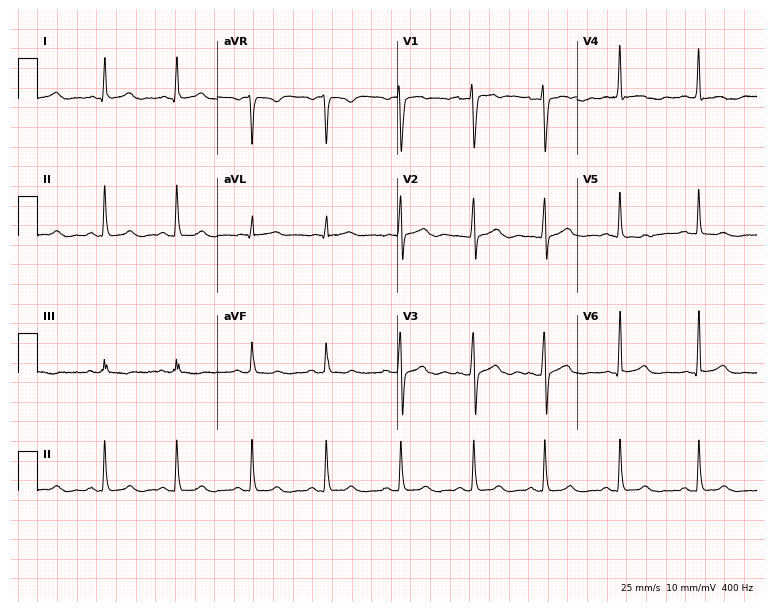
12-lead ECG from a woman, 31 years old. No first-degree AV block, right bundle branch block, left bundle branch block, sinus bradycardia, atrial fibrillation or sinus tachycardia recorded for this tracing. Only these six findings were labelled.